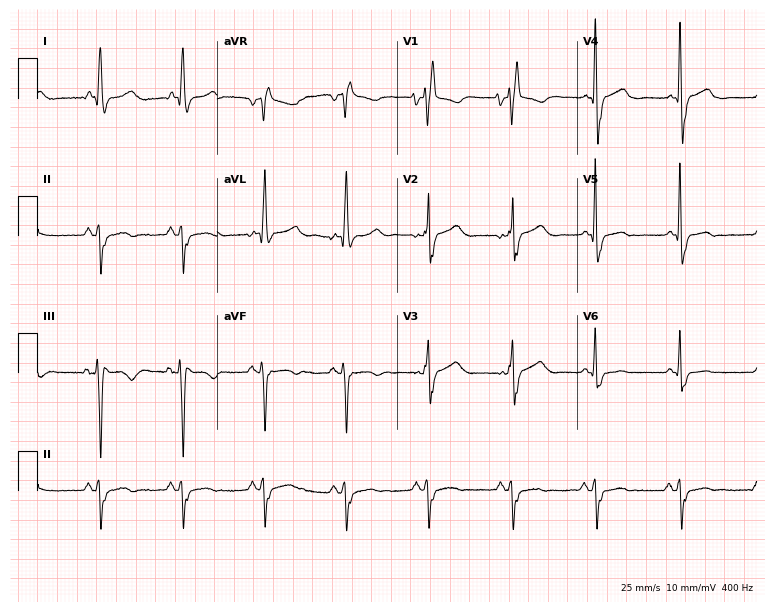
Electrocardiogram (7.3-second recording at 400 Hz), a man, 57 years old. Interpretation includes right bundle branch block.